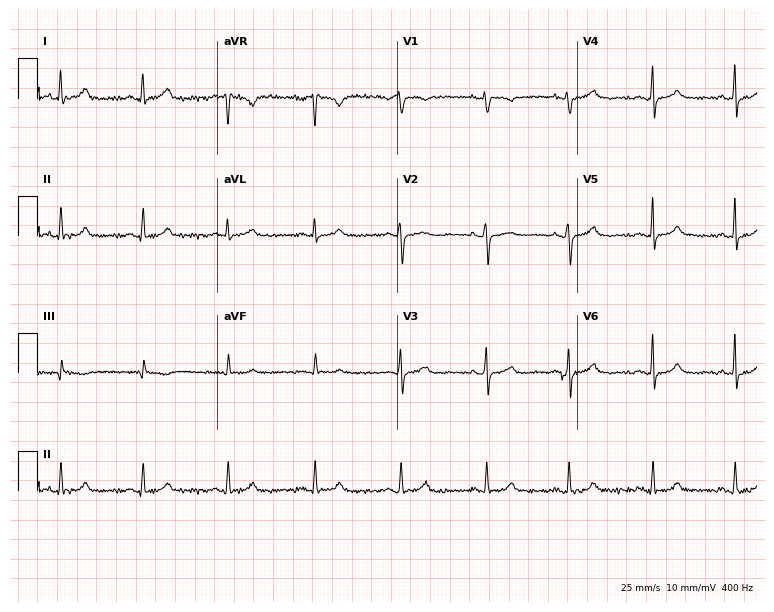
Standard 12-lead ECG recorded from a woman, 32 years old. None of these six findings is recorded: first-degree AV block, right bundle branch block, left bundle branch block, sinus bradycardia, atrial fibrillation, sinus tachycardia.